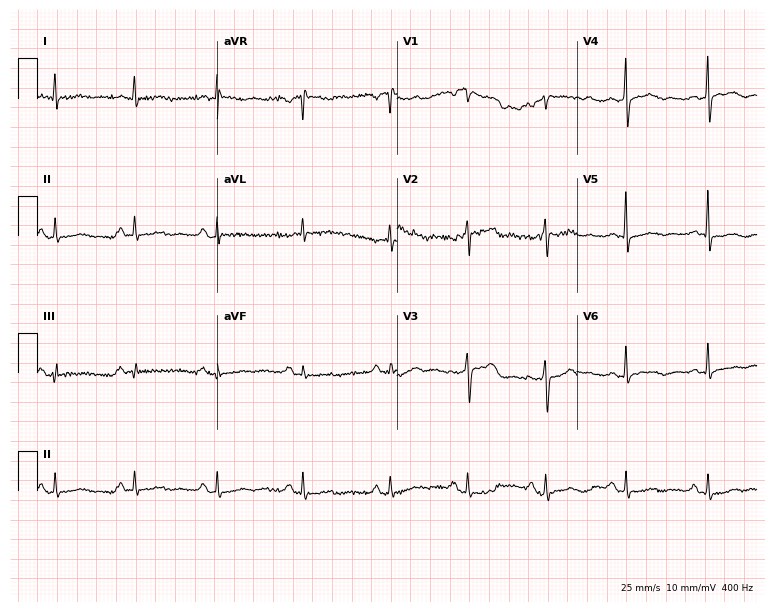
12-lead ECG from a male, 83 years old. No first-degree AV block, right bundle branch block, left bundle branch block, sinus bradycardia, atrial fibrillation or sinus tachycardia recorded for this tracing. Other findings, if any, are not listed.